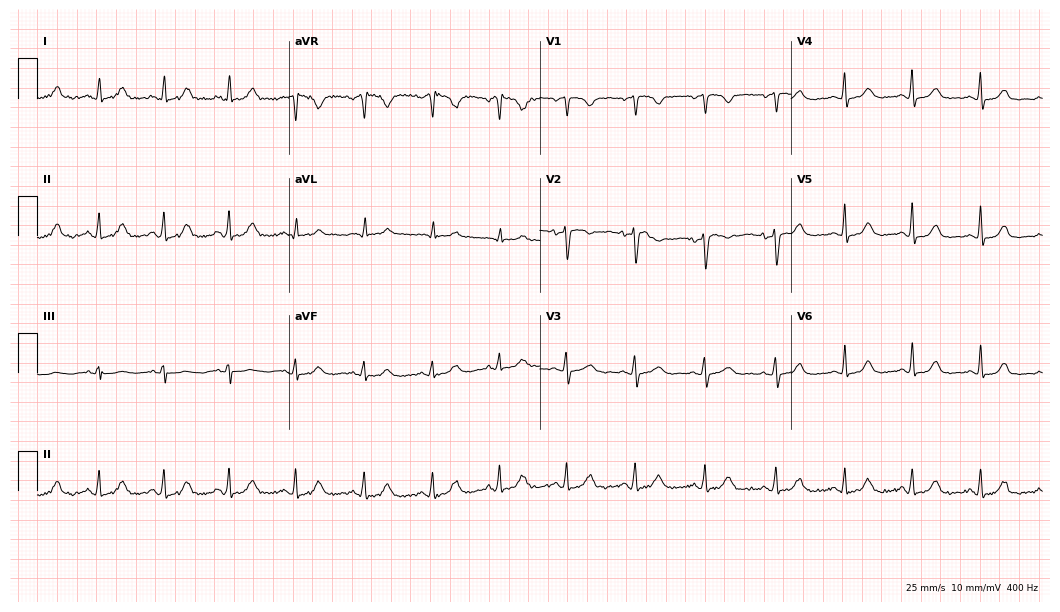
Electrocardiogram, a woman, 40 years old. Overall reading on record: normal ECG.